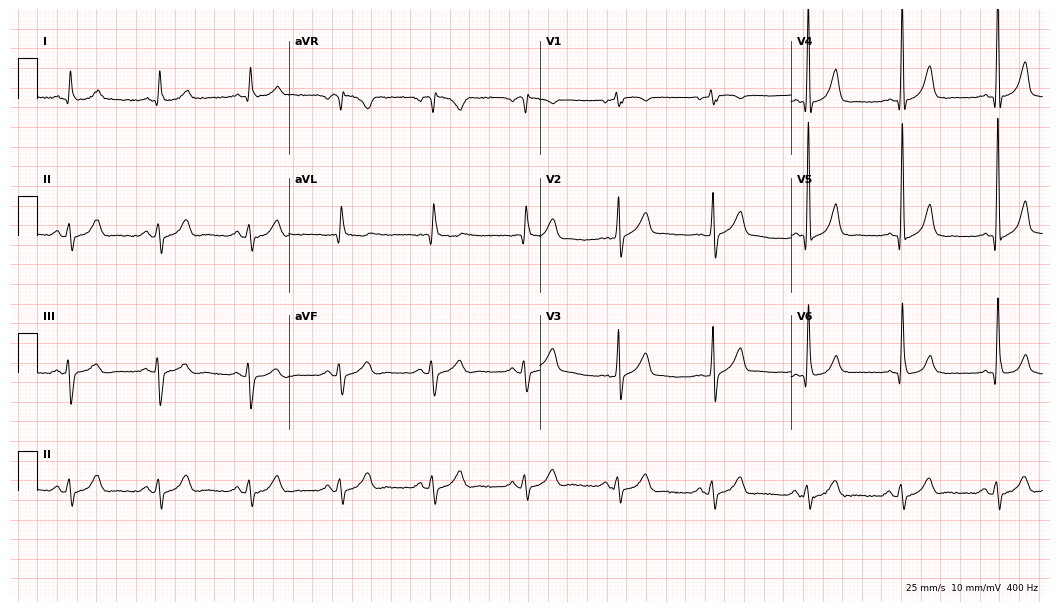
Standard 12-lead ECG recorded from a man, 69 years old (10.2-second recording at 400 Hz). Read as a normal ECG.